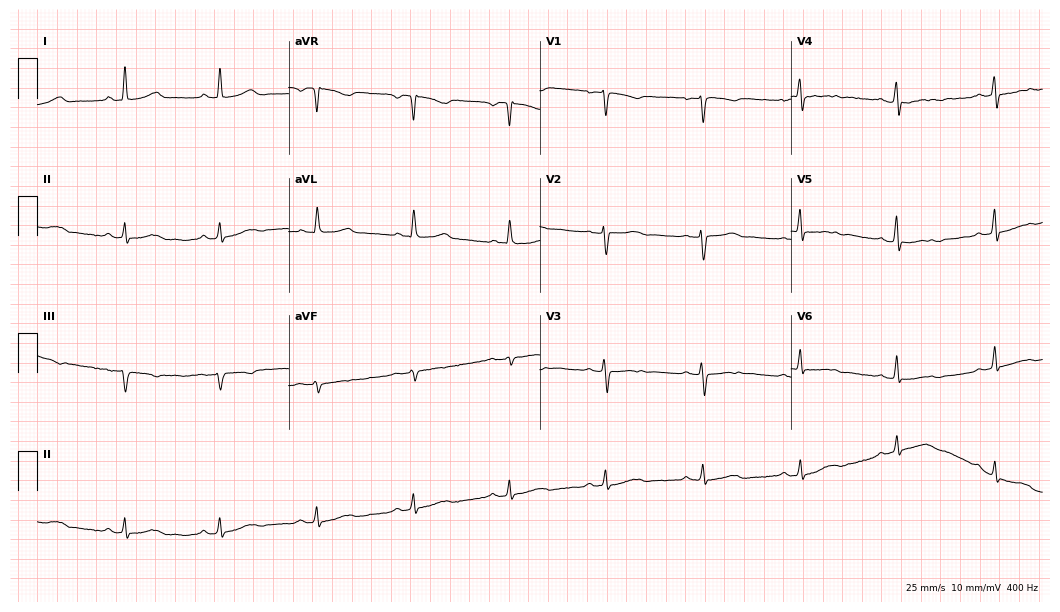
12-lead ECG from a 51-year-old female. Screened for six findings — first-degree AV block, right bundle branch block, left bundle branch block, sinus bradycardia, atrial fibrillation, sinus tachycardia — none is recorded.